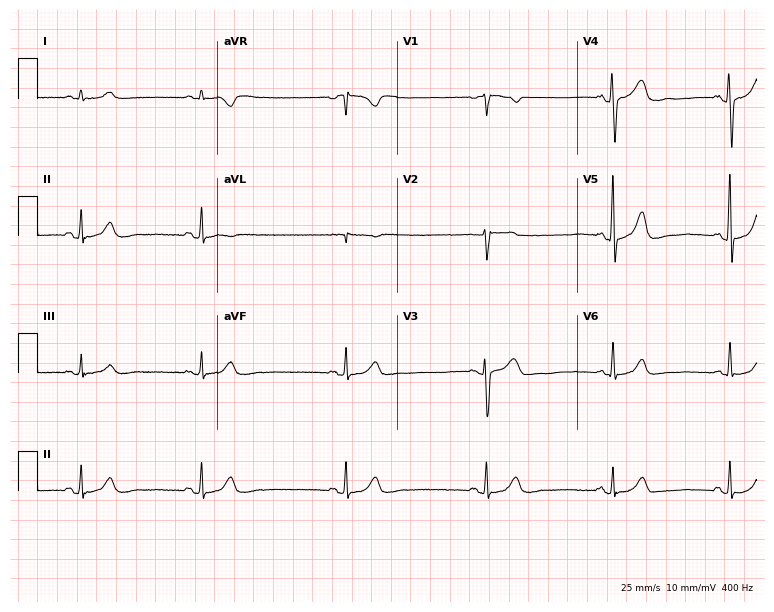
12-lead ECG from a 44-year-old male patient. No first-degree AV block, right bundle branch block, left bundle branch block, sinus bradycardia, atrial fibrillation or sinus tachycardia recorded for this tracing. Findings outside these six are not listed.